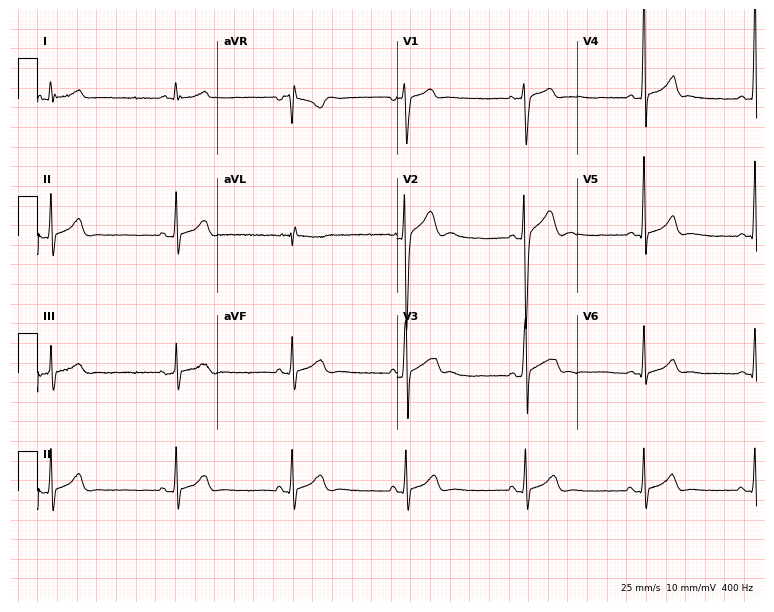
12-lead ECG from a 20-year-old male patient. No first-degree AV block, right bundle branch block, left bundle branch block, sinus bradycardia, atrial fibrillation or sinus tachycardia recorded for this tracing.